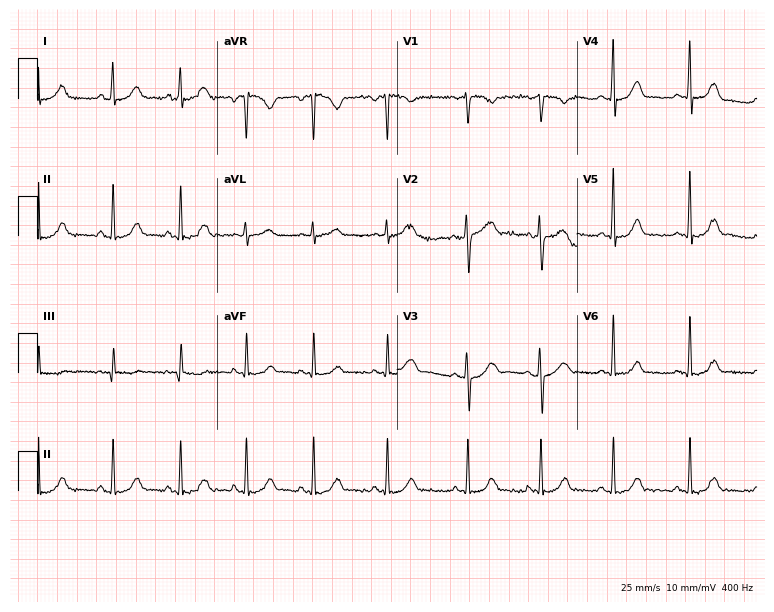
Electrocardiogram (7.3-second recording at 400 Hz), a woman, 26 years old. Of the six screened findings (first-degree AV block, right bundle branch block, left bundle branch block, sinus bradycardia, atrial fibrillation, sinus tachycardia), none is recorded. Other findings, if any, are not listed.